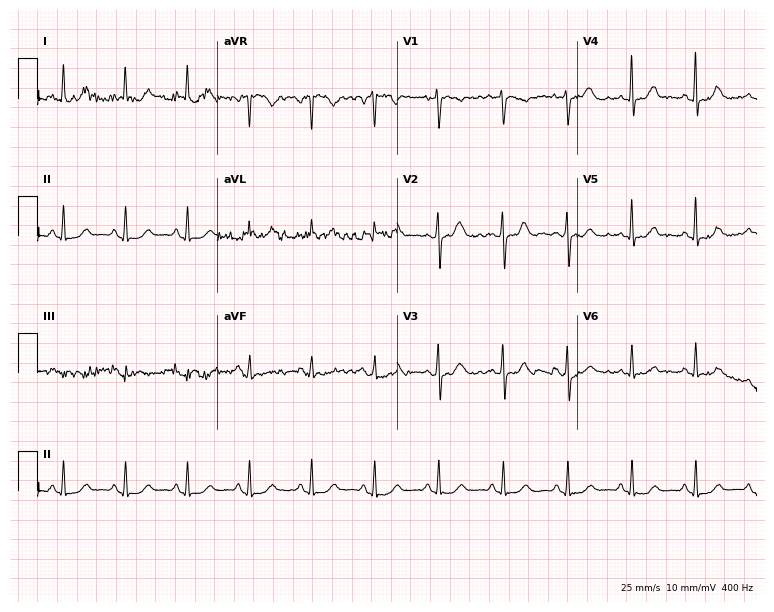
ECG — a 50-year-old female patient. Labelled as a normal ECG.